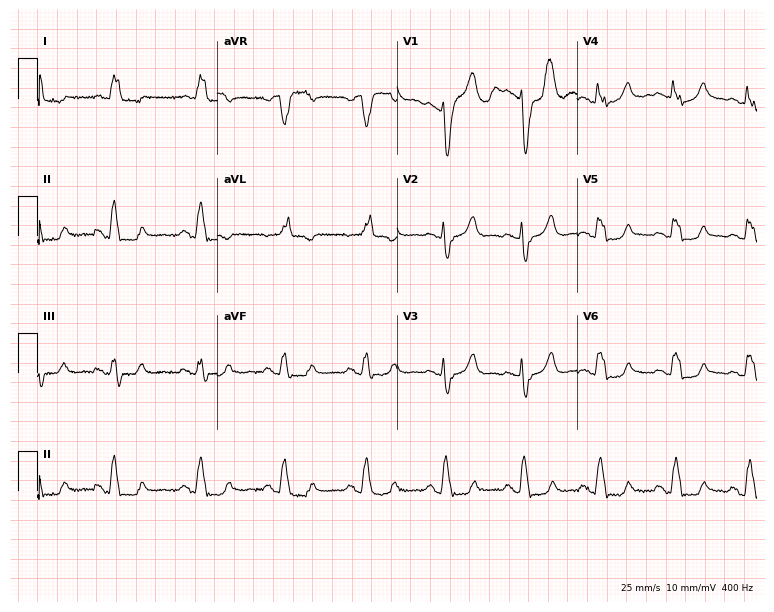
Standard 12-lead ECG recorded from a woman, 85 years old. The tracing shows left bundle branch block.